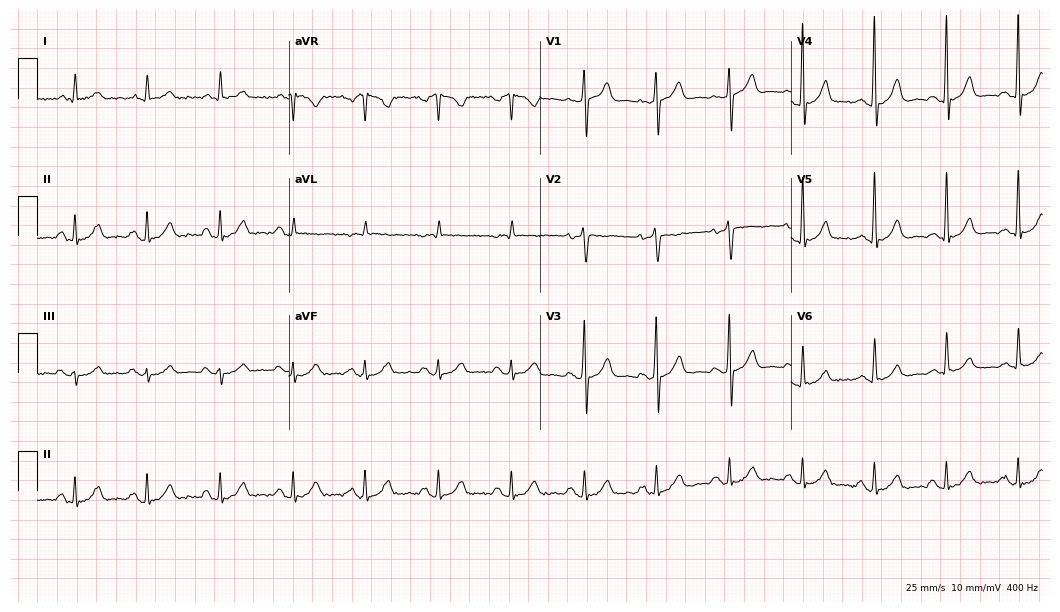
ECG (10.2-second recording at 400 Hz) — a male patient, 54 years old. Screened for six findings — first-degree AV block, right bundle branch block, left bundle branch block, sinus bradycardia, atrial fibrillation, sinus tachycardia — none is recorded.